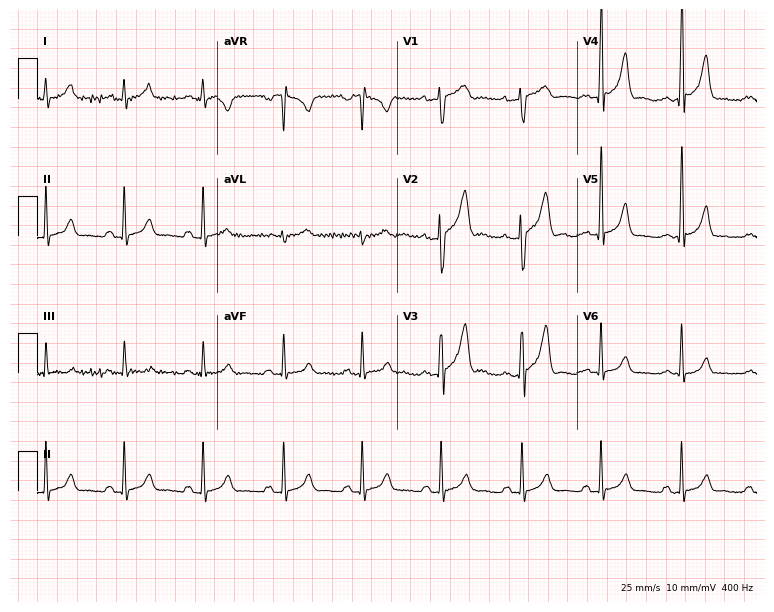
12-lead ECG from a male, 34 years old (7.3-second recording at 400 Hz). No first-degree AV block, right bundle branch block (RBBB), left bundle branch block (LBBB), sinus bradycardia, atrial fibrillation (AF) or sinus tachycardia recorded for this tracing. Other findings, if any, are not listed.